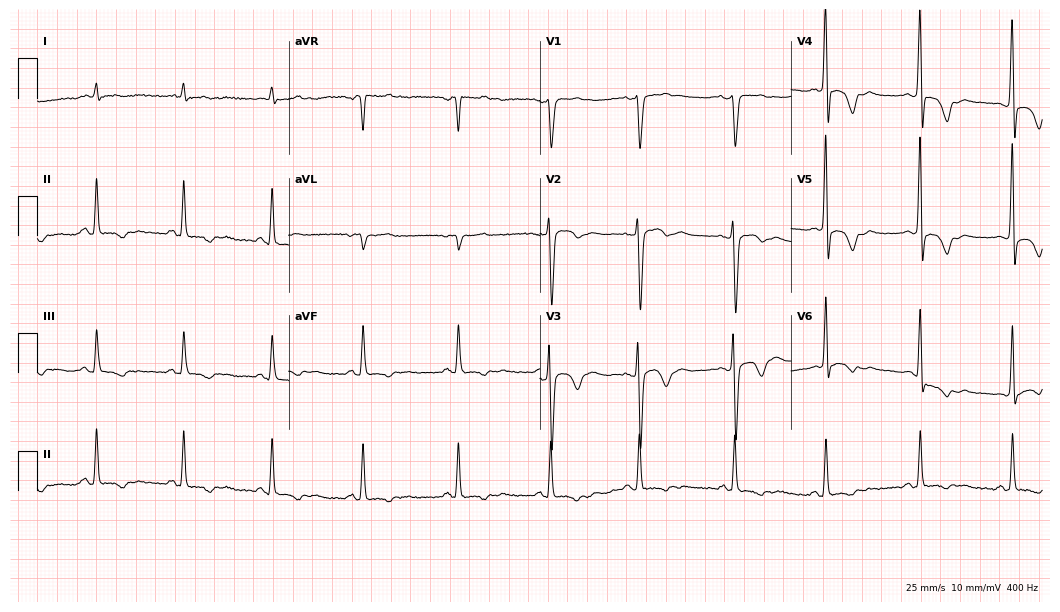
Standard 12-lead ECG recorded from a 48-year-old male patient. None of these six findings is recorded: first-degree AV block, right bundle branch block, left bundle branch block, sinus bradycardia, atrial fibrillation, sinus tachycardia. Only these six findings were labelled.